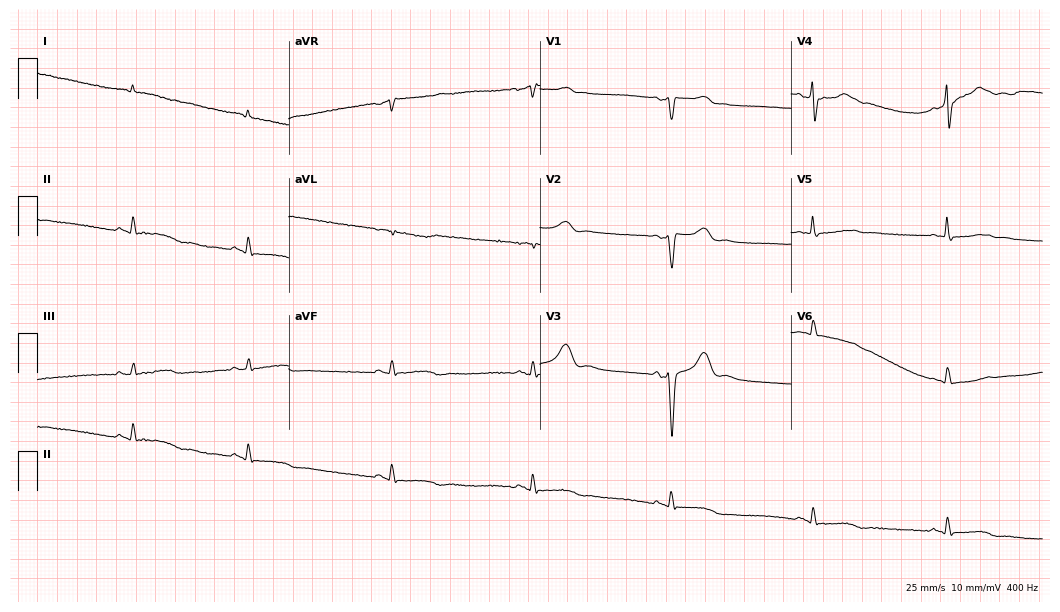
ECG — a woman, 74 years old. Screened for six findings — first-degree AV block, right bundle branch block, left bundle branch block, sinus bradycardia, atrial fibrillation, sinus tachycardia — none is recorded.